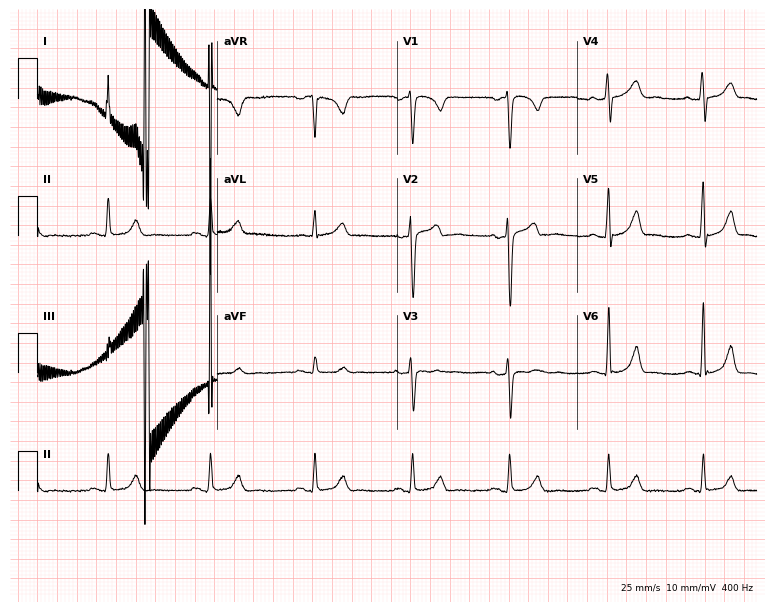
12-lead ECG from a male, 37 years old. Labelled as a normal ECG.